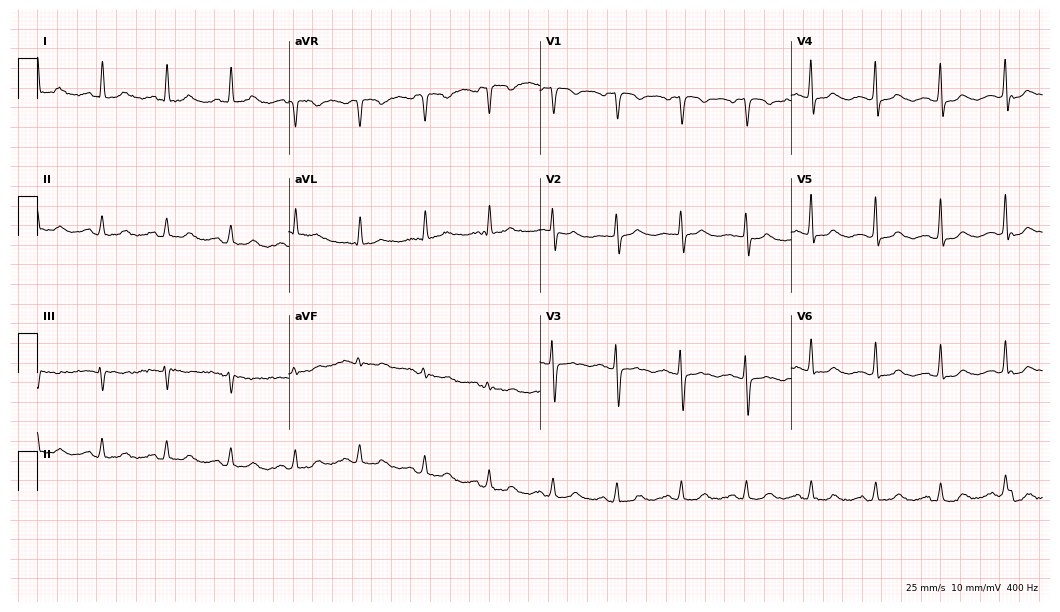
Standard 12-lead ECG recorded from a woman, 72 years old. Read as a normal ECG.